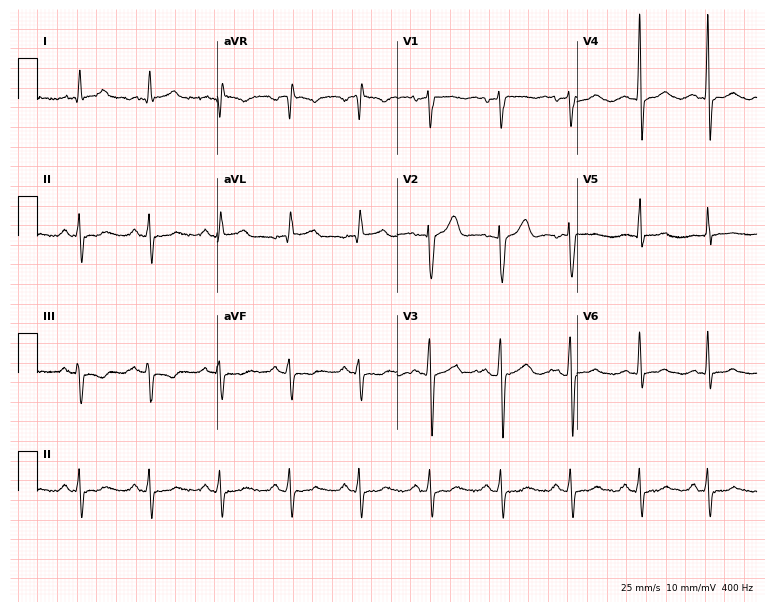
Resting 12-lead electrocardiogram (7.3-second recording at 400 Hz). Patient: a man, 52 years old. None of these six findings is recorded: first-degree AV block, right bundle branch block, left bundle branch block, sinus bradycardia, atrial fibrillation, sinus tachycardia. Other findings, if any, are not listed.